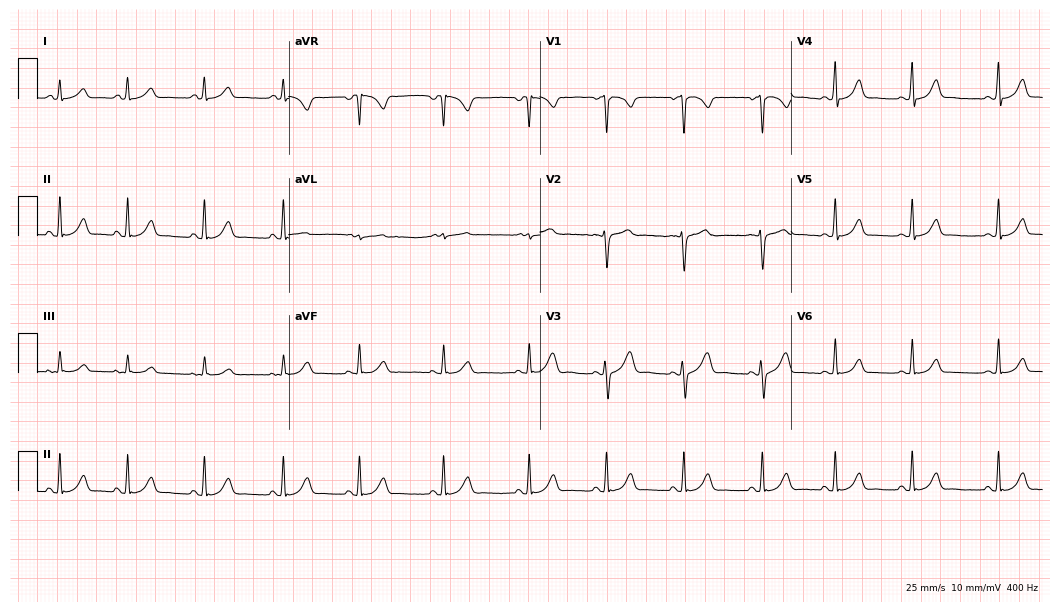
12-lead ECG from a female patient, 26 years old. Recorded interpretation: within normal limits.